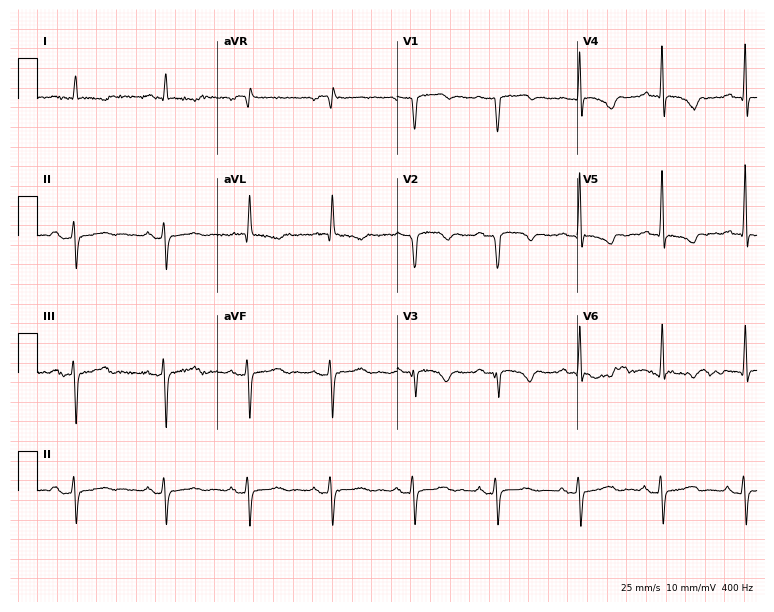
Resting 12-lead electrocardiogram. Patient: an 85-year-old man. None of these six findings is recorded: first-degree AV block, right bundle branch block, left bundle branch block, sinus bradycardia, atrial fibrillation, sinus tachycardia.